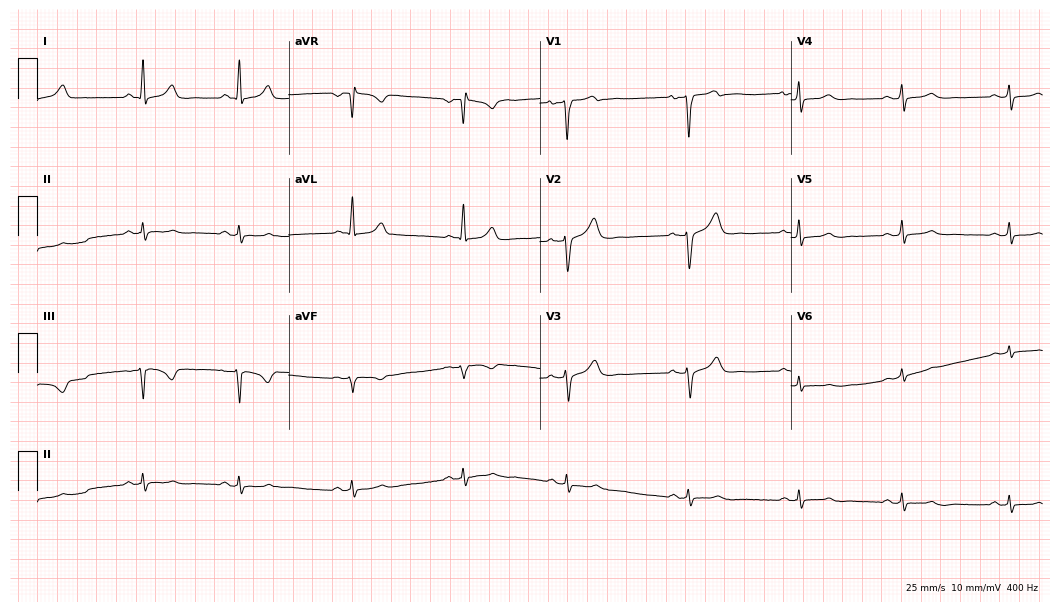
Electrocardiogram, a 30-year-old male. Overall reading on record: normal ECG.